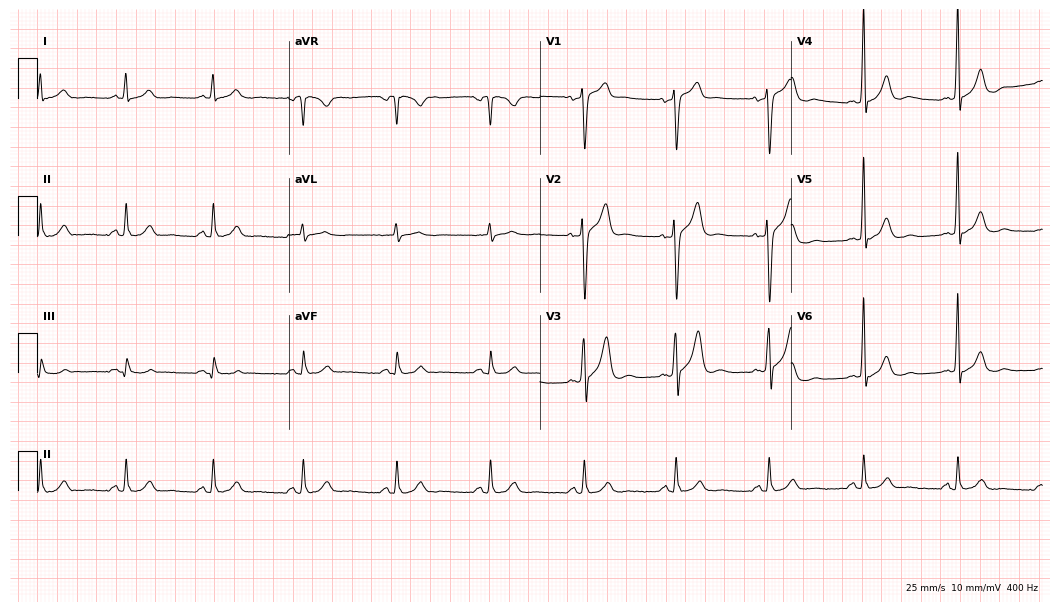
12-lead ECG from a 58-year-old male patient. Screened for six findings — first-degree AV block, right bundle branch block (RBBB), left bundle branch block (LBBB), sinus bradycardia, atrial fibrillation (AF), sinus tachycardia — none is recorded.